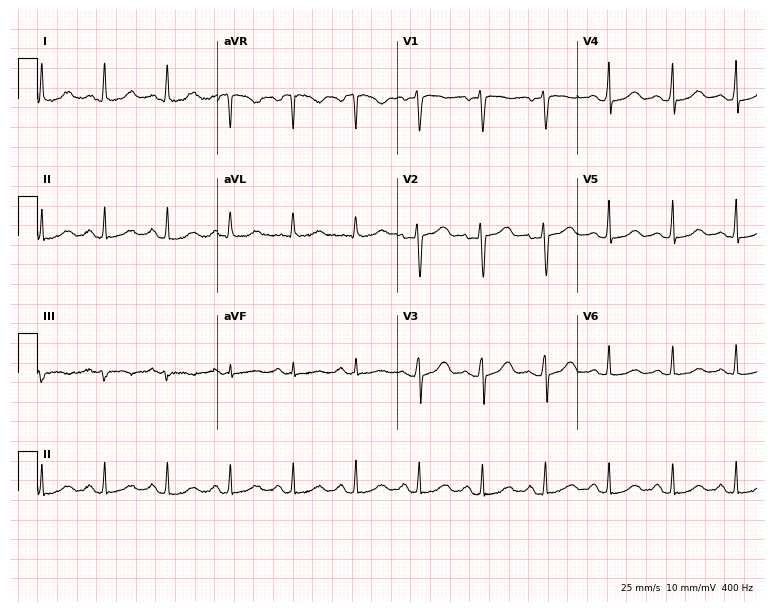
Standard 12-lead ECG recorded from a female, 38 years old (7.3-second recording at 400 Hz). Read as a normal ECG.